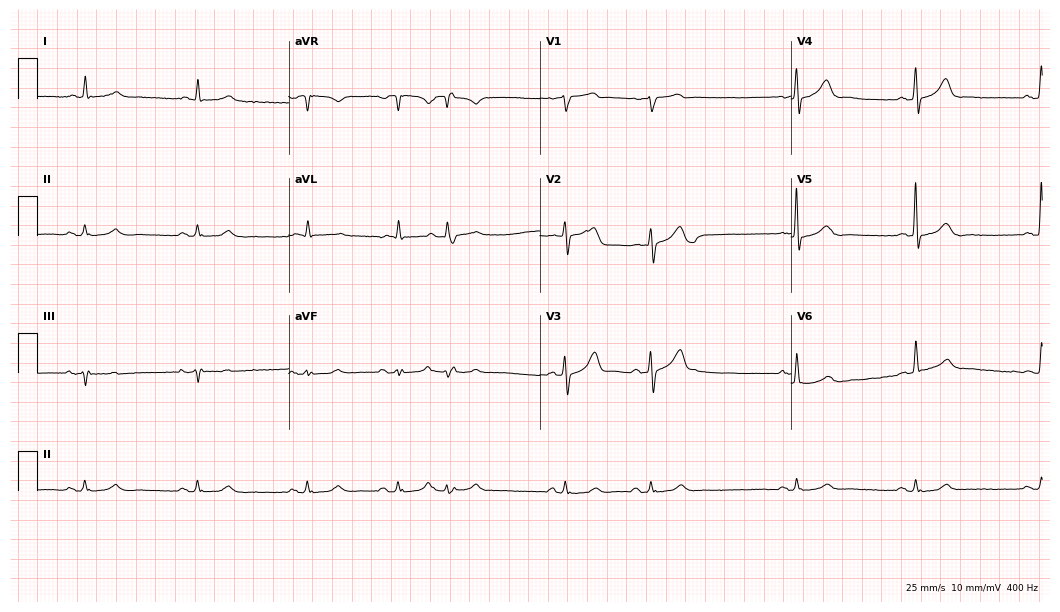
Standard 12-lead ECG recorded from an 83-year-old male patient (10.2-second recording at 400 Hz). Read as a normal ECG.